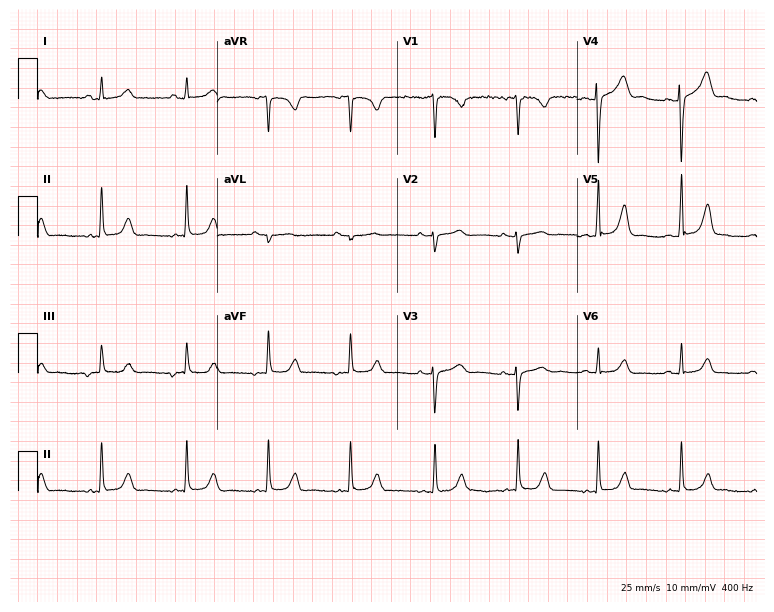
ECG — a female patient, 25 years old. Labelled as a normal ECG.